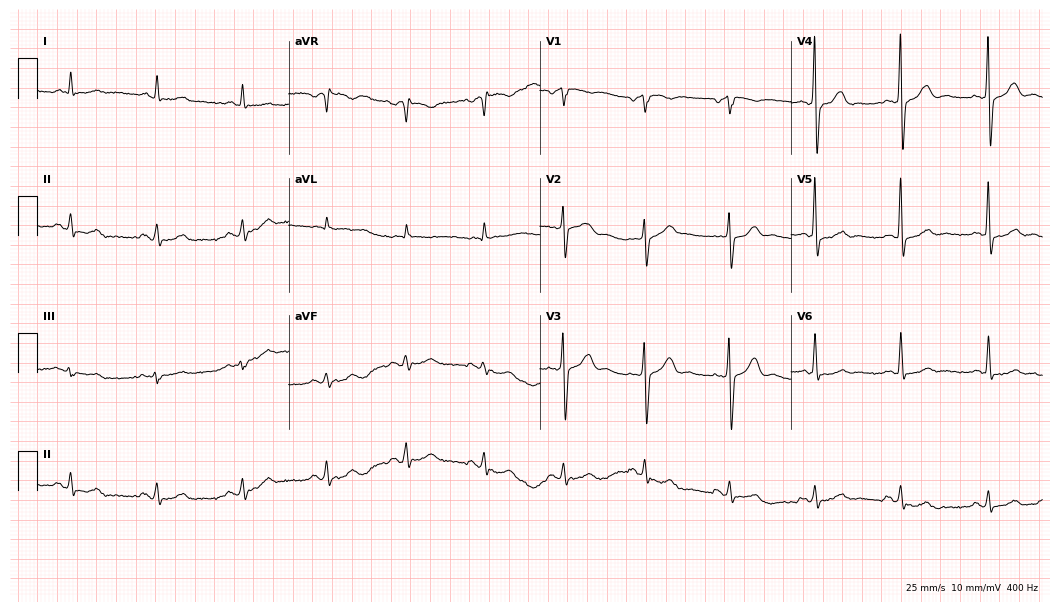
12-lead ECG (10.2-second recording at 400 Hz) from a 57-year-old male patient. Labelled as a normal ECG.